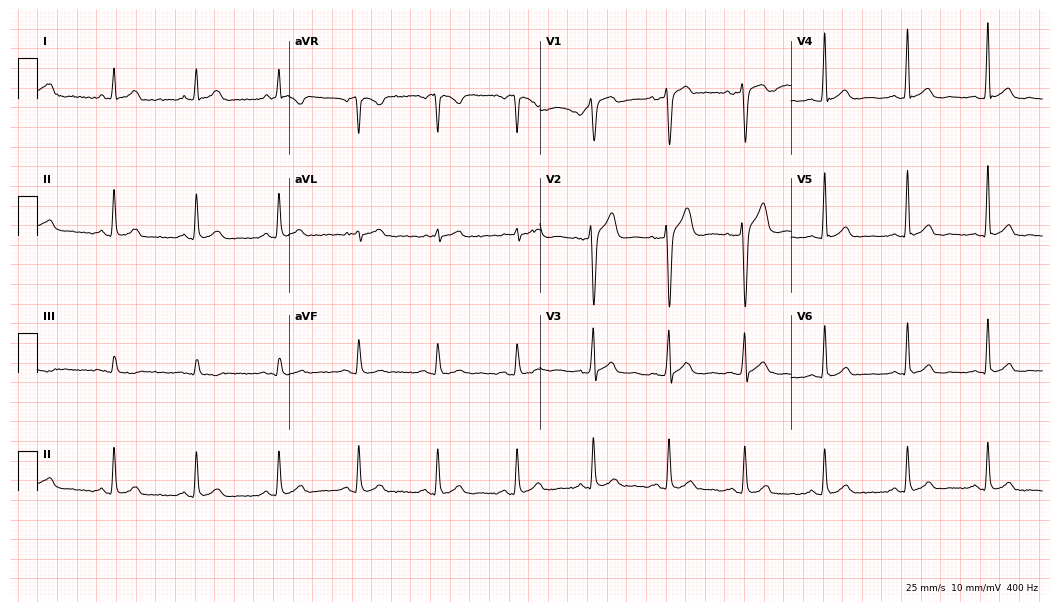
Electrocardiogram (10.2-second recording at 400 Hz), a male, 34 years old. Overall reading on record: normal ECG.